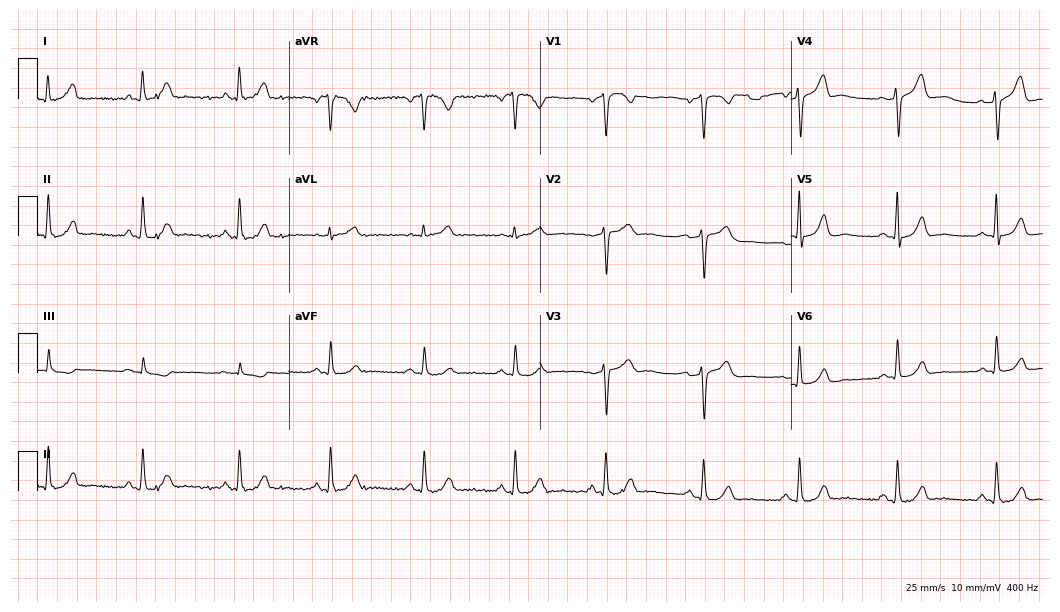
Standard 12-lead ECG recorded from a 48-year-old woman. None of these six findings is recorded: first-degree AV block, right bundle branch block (RBBB), left bundle branch block (LBBB), sinus bradycardia, atrial fibrillation (AF), sinus tachycardia.